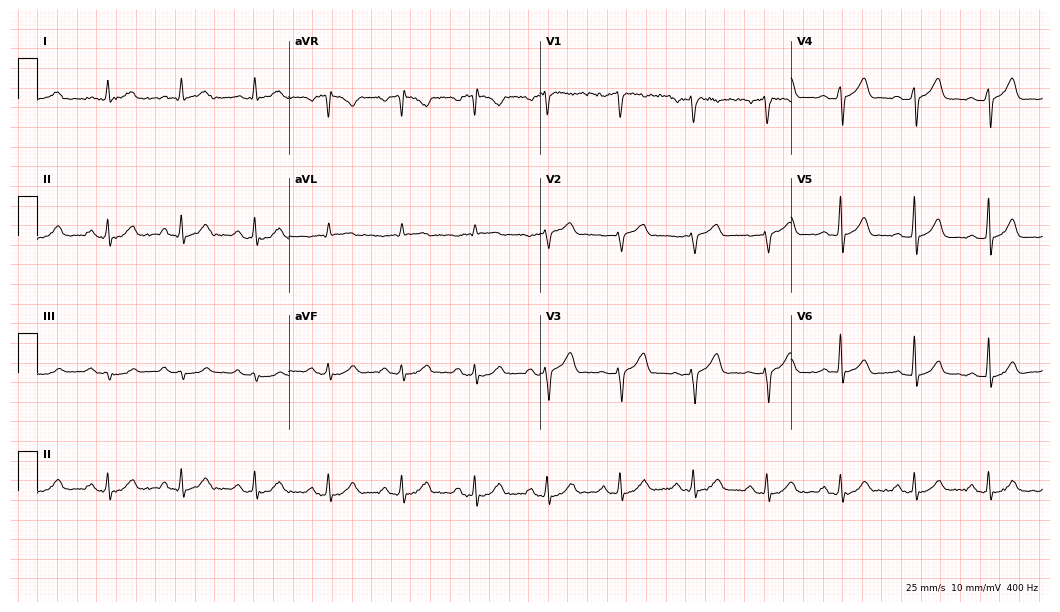
Resting 12-lead electrocardiogram. Patient: a 66-year-old male. Read as a normal ECG.